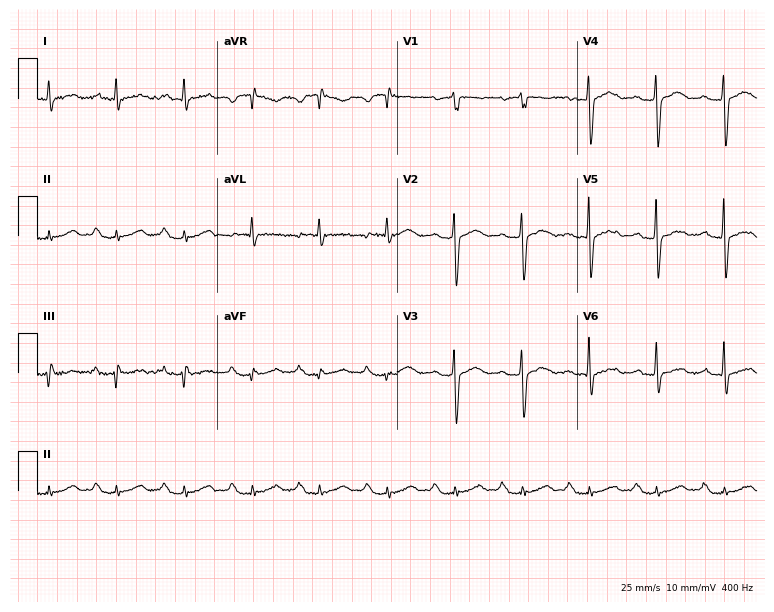
Standard 12-lead ECG recorded from a 74-year-old man. The tracing shows first-degree AV block.